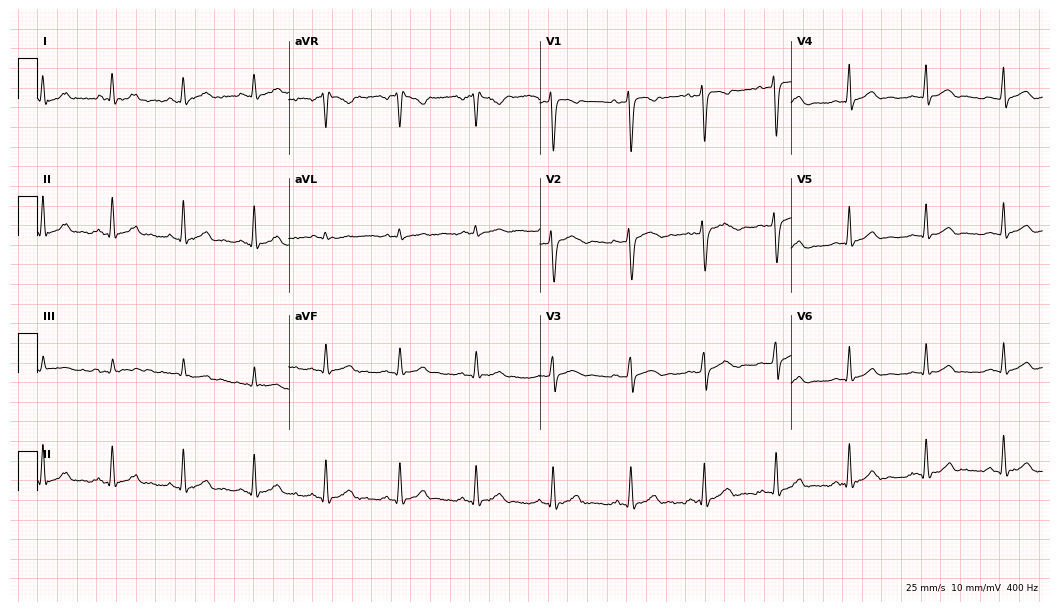
Electrocardiogram (10.2-second recording at 400 Hz), a female patient, 31 years old. Of the six screened findings (first-degree AV block, right bundle branch block (RBBB), left bundle branch block (LBBB), sinus bradycardia, atrial fibrillation (AF), sinus tachycardia), none is recorded. Findings outside these six are not listed.